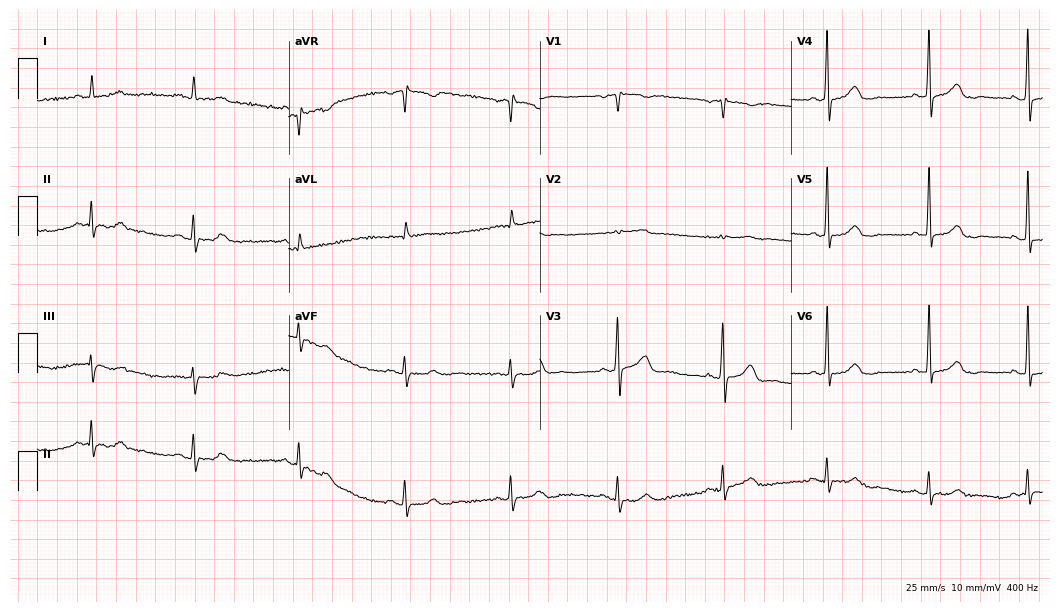
12-lead ECG from a woman, 80 years old. Screened for six findings — first-degree AV block, right bundle branch block, left bundle branch block, sinus bradycardia, atrial fibrillation, sinus tachycardia — none is recorded.